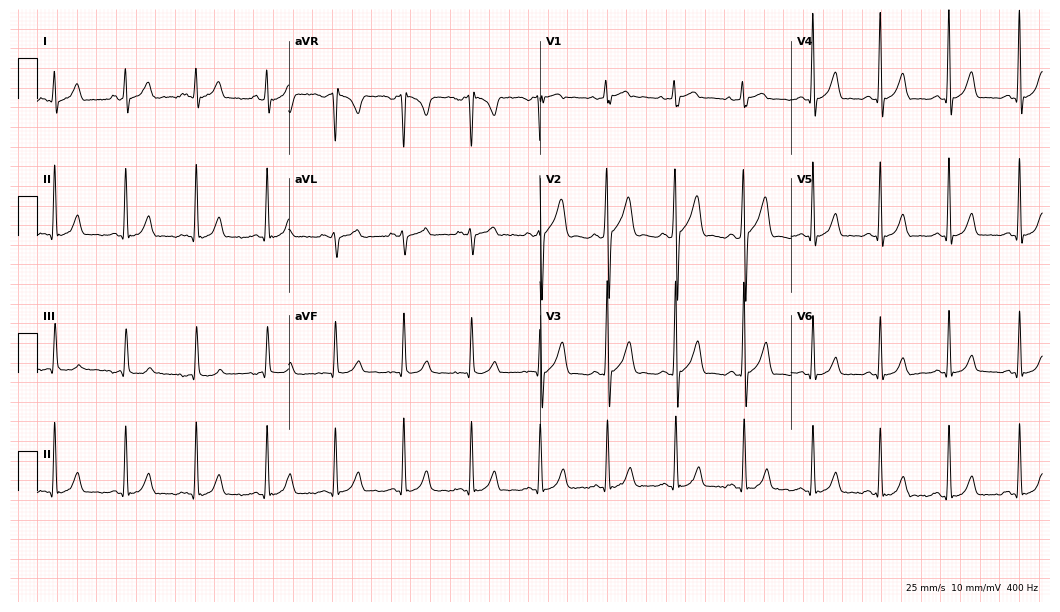
Resting 12-lead electrocardiogram (10.2-second recording at 400 Hz). Patient: a man, 22 years old. Read as a normal ECG.